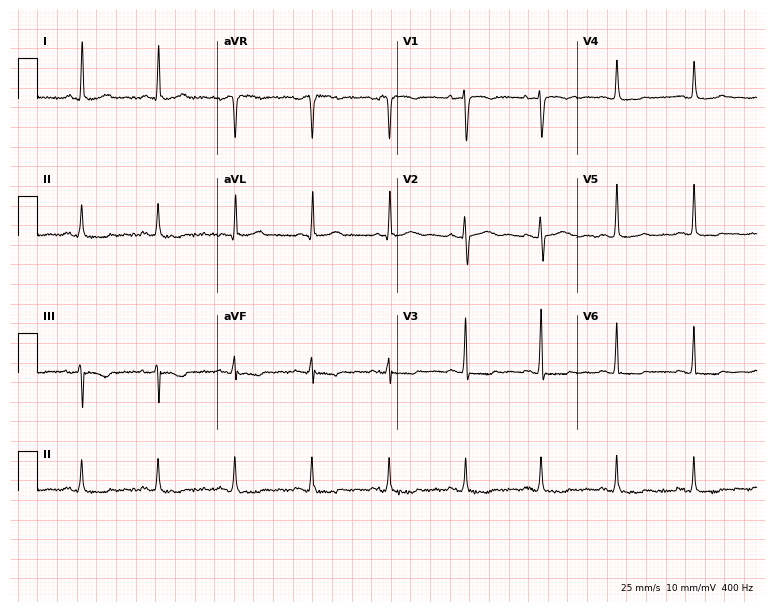
Resting 12-lead electrocardiogram. Patient: a female, 36 years old. None of these six findings is recorded: first-degree AV block, right bundle branch block, left bundle branch block, sinus bradycardia, atrial fibrillation, sinus tachycardia.